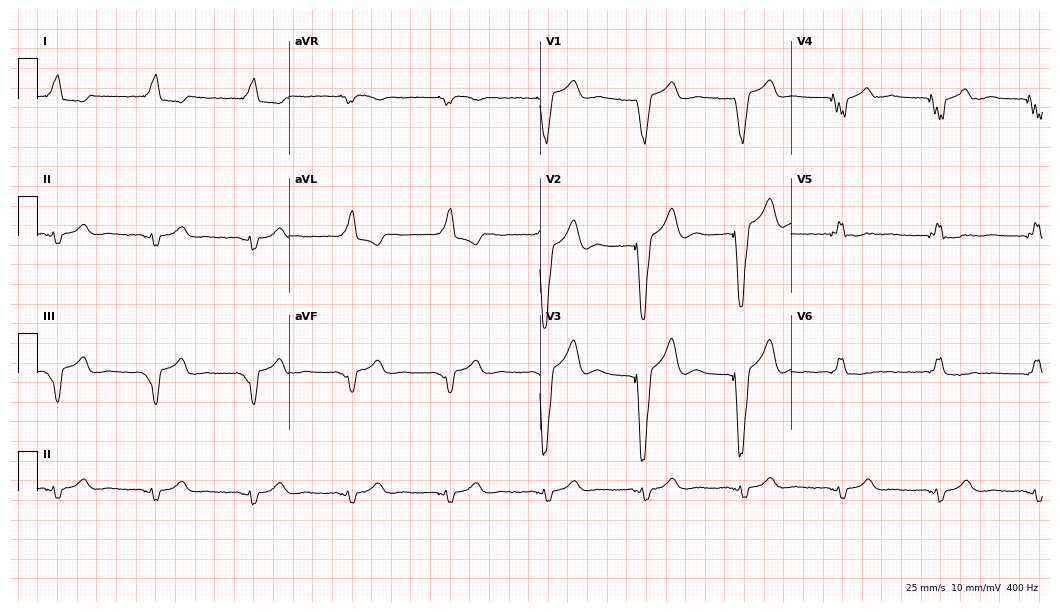
Electrocardiogram, a female patient, 79 years old. Of the six screened findings (first-degree AV block, right bundle branch block, left bundle branch block, sinus bradycardia, atrial fibrillation, sinus tachycardia), none is recorded. Only these six findings were labelled.